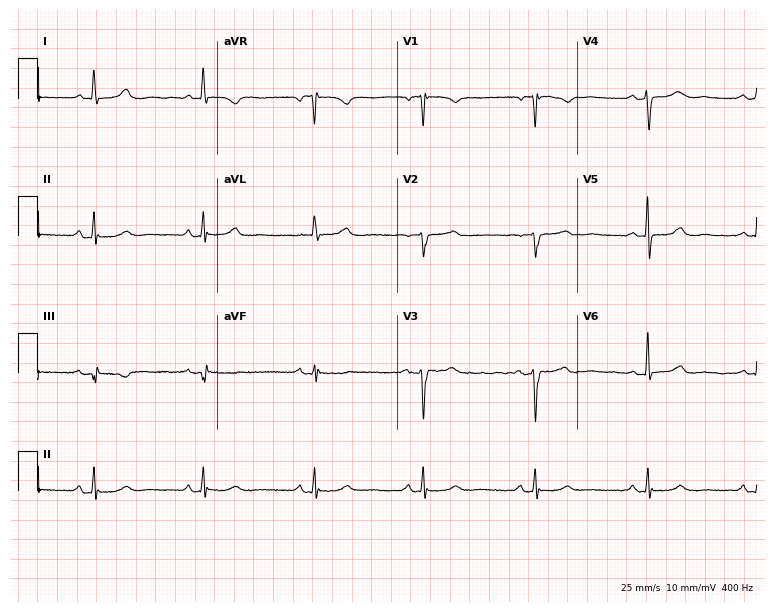
12-lead ECG from a female, 60 years old. Recorded interpretation: within normal limits.